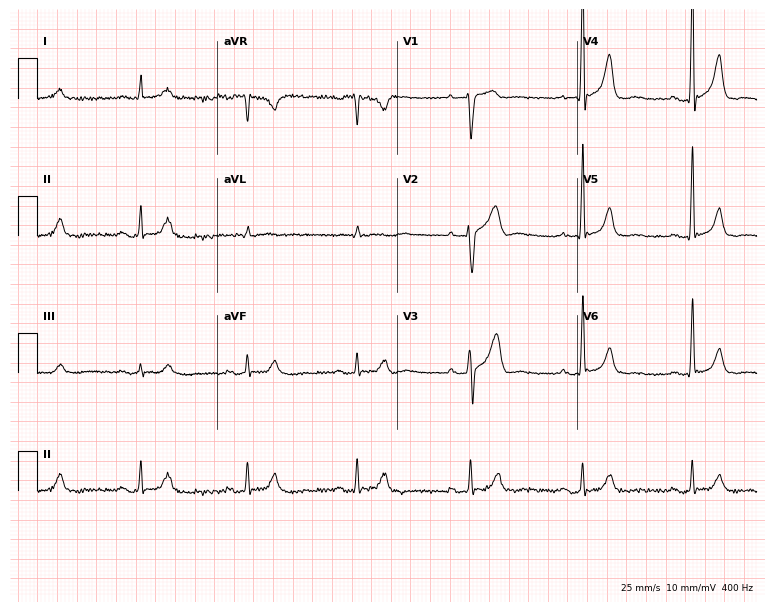
Resting 12-lead electrocardiogram (7.3-second recording at 400 Hz). Patient: a male, 63 years old. The tracing shows sinus bradycardia (a sinus rate of 50 beats per minute or less).